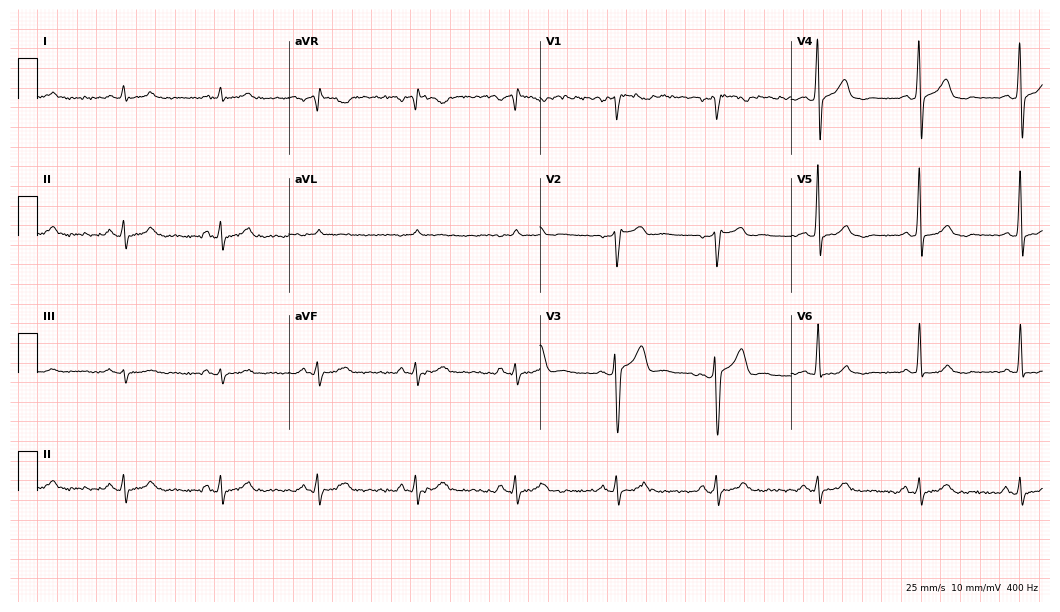
12-lead ECG from a 55-year-old man (10.2-second recording at 400 Hz). Recorded interpretation: within normal limits.